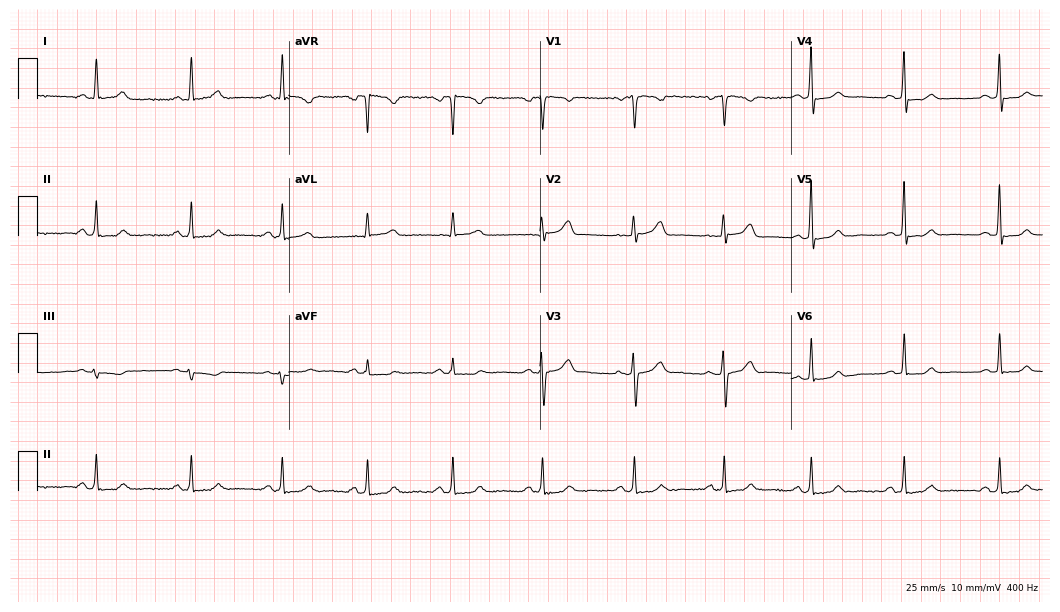
12-lead ECG from a 40-year-old woman. Recorded interpretation: within normal limits.